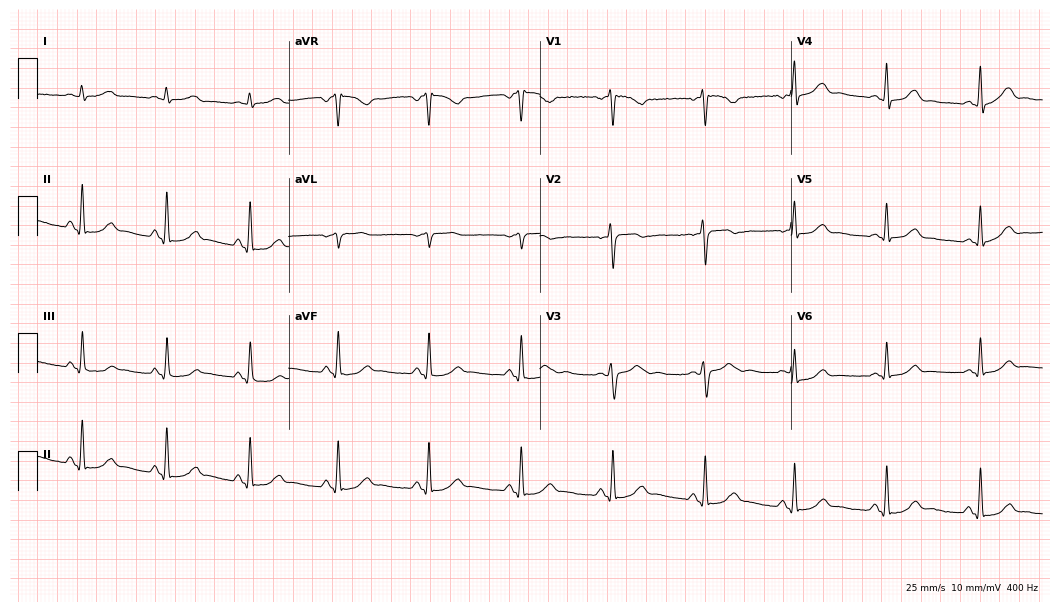
Resting 12-lead electrocardiogram (10.2-second recording at 400 Hz). Patient: a 35-year-old female. None of these six findings is recorded: first-degree AV block, right bundle branch block, left bundle branch block, sinus bradycardia, atrial fibrillation, sinus tachycardia.